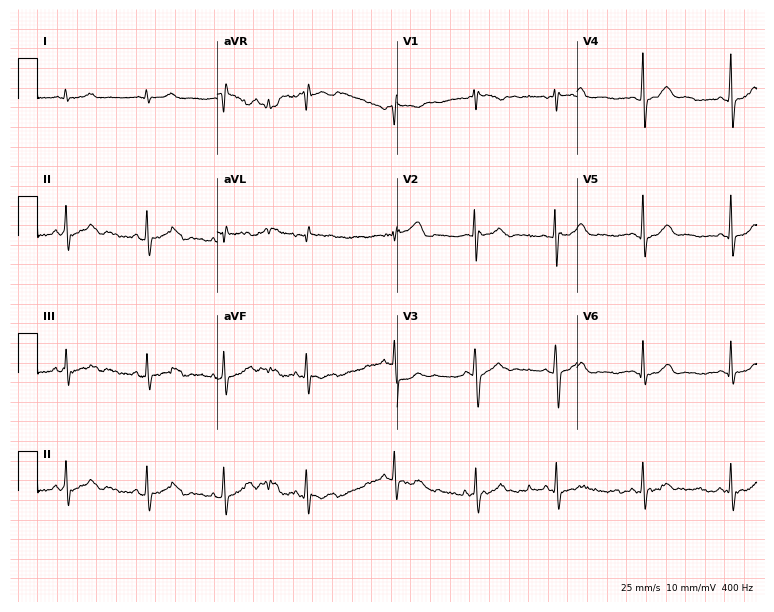
12-lead ECG (7.3-second recording at 400 Hz) from a 27-year-old female. Labelled as a normal ECG.